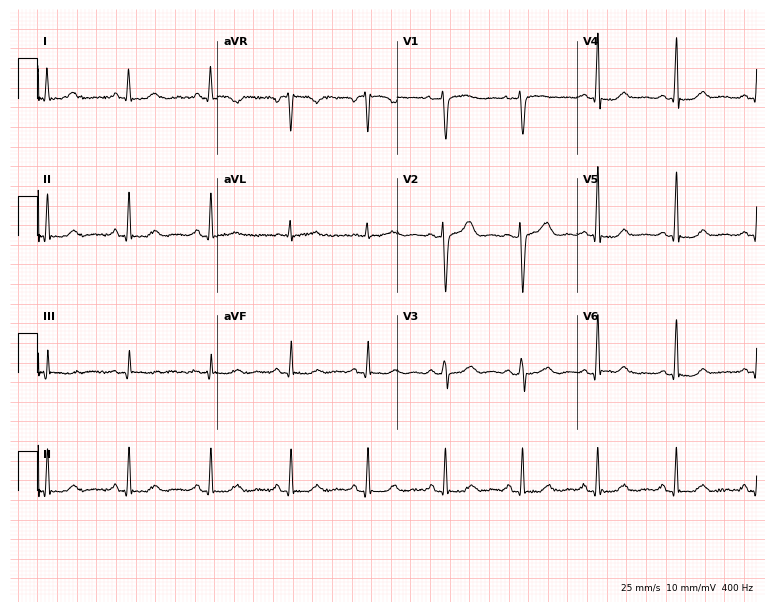
Resting 12-lead electrocardiogram. Patient: a female, 52 years old. Read as a normal ECG.